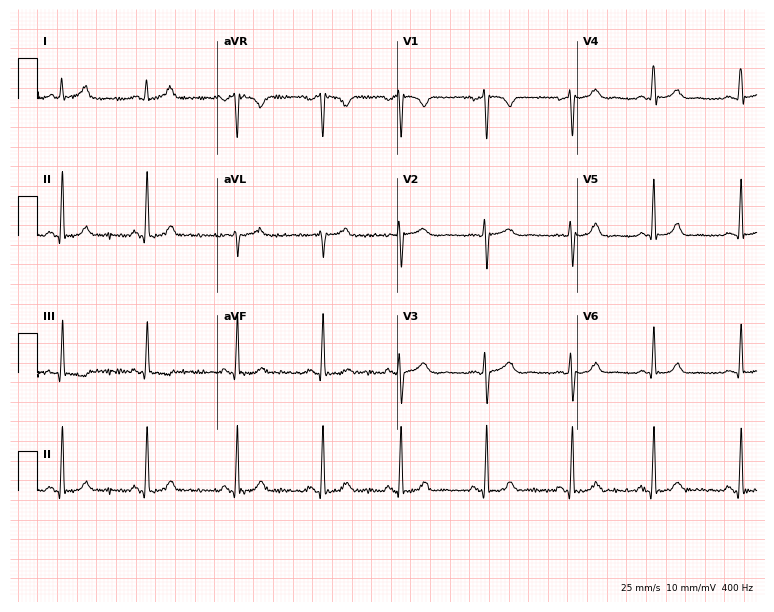
12-lead ECG from a female, 20 years old (7.3-second recording at 400 Hz). Recorded interpretation: within normal limits.